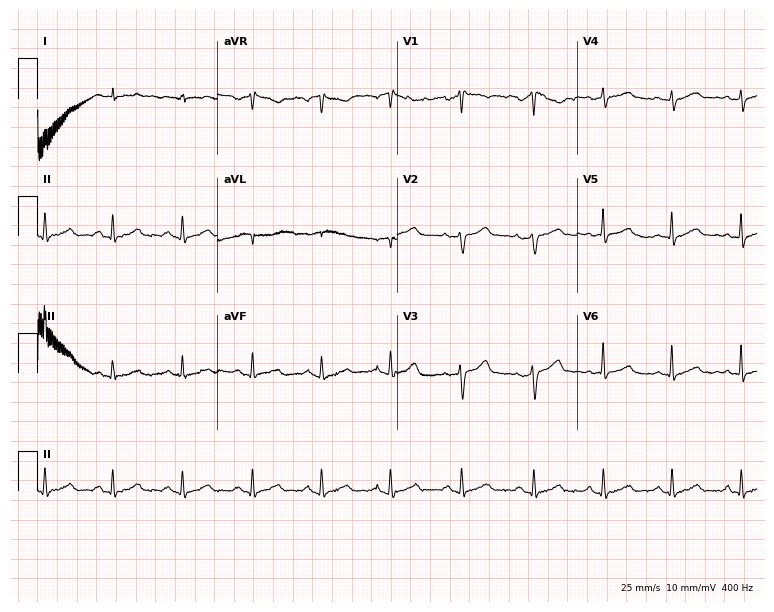
Resting 12-lead electrocardiogram (7.3-second recording at 400 Hz). Patient: a female, 45 years old. None of these six findings is recorded: first-degree AV block, right bundle branch block (RBBB), left bundle branch block (LBBB), sinus bradycardia, atrial fibrillation (AF), sinus tachycardia.